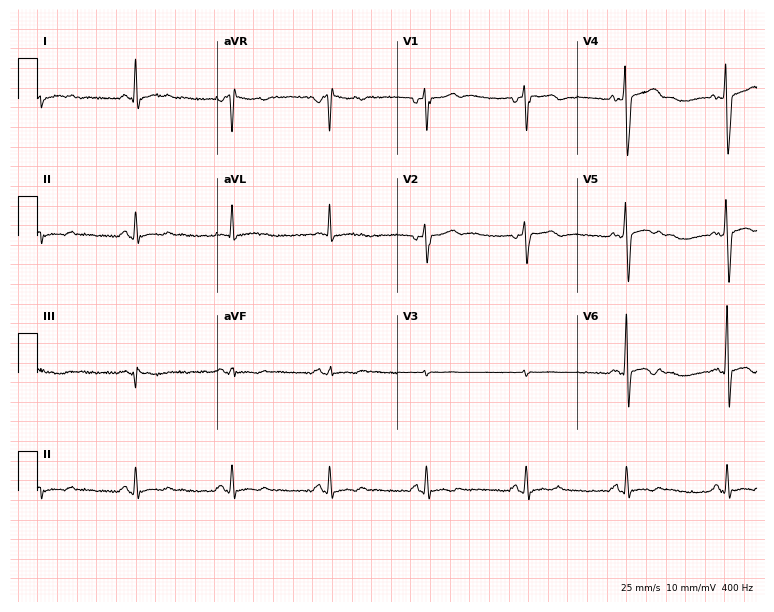
Standard 12-lead ECG recorded from a 46-year-old male patient (7.3-second recording at 400 Hz). None of these six findings is recorded: first-degree AV block, right bundle branch block (RBBB), left bundle branch block (LBBB), sinus bradycardia, atrial fibrillation (AF), sinus tachycardia.